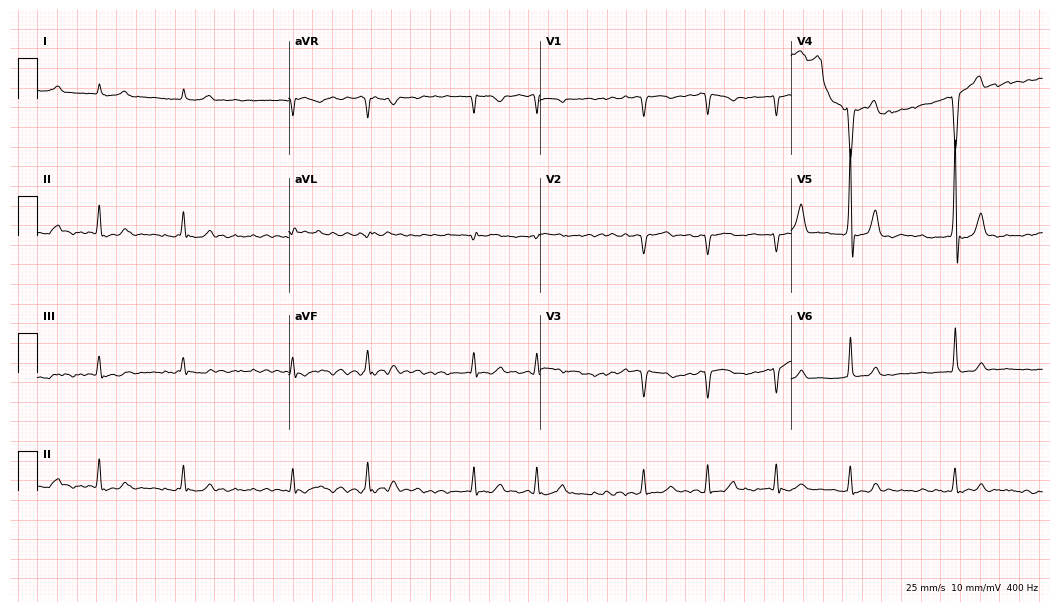
Resting 12-lead electrocardiogram. Patient: a man, 82 years old. None of these six findings is recorded: first-degree AV block, right bundle branch block, left bundle branch block, sinus bradycardia, atrial fibrillation, sinus tachycardia. Findings outside these six are not listed.